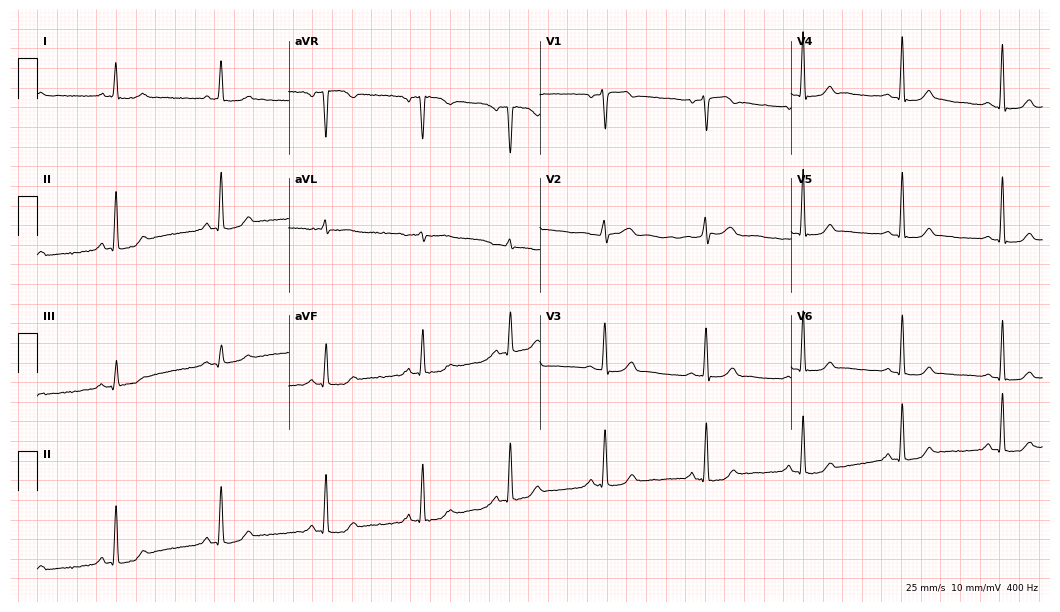
12-lead ECG from a female, 57 years old (10.2-second recording at 400 Hz). Recorded interpretation: within normal limits.